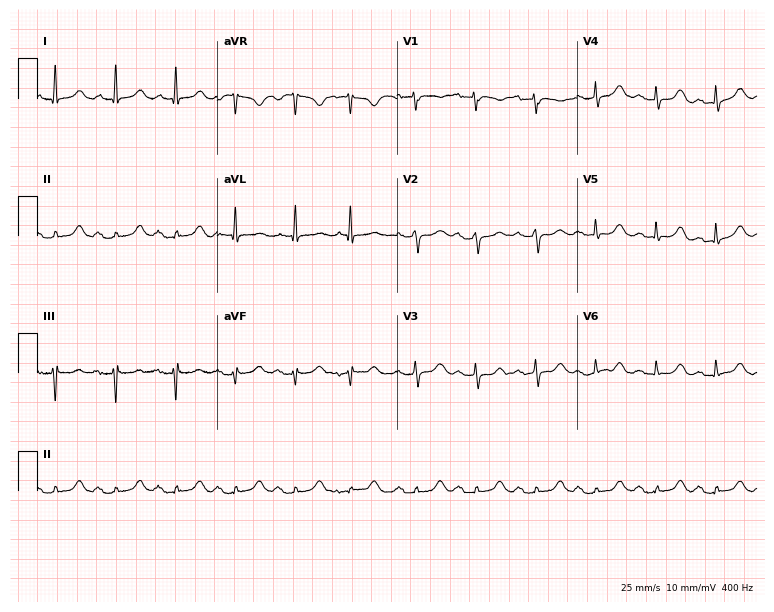
12-lead ECG from a female, 84 years old. Screened for six findings — first-degree AV block, right bundle branch block, left bundle branch block, sinus bradycardia, atrial fibrillation, sinus tachycardia — none is recorded. Findings outside these six are not listed.